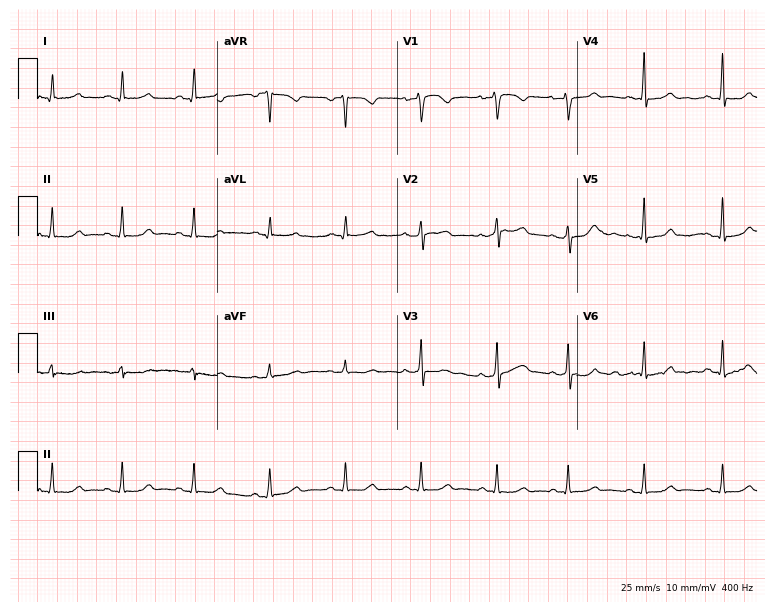
Electrocardiogram, a 36-year-old woman. Of the six screened findings (first-degree AV block, right bundle branch block (RBBB), left bundle branch block (LBBB), sinus bradycardia, atrial fibrillation (AF), sinus tachycardia), none is recorded.